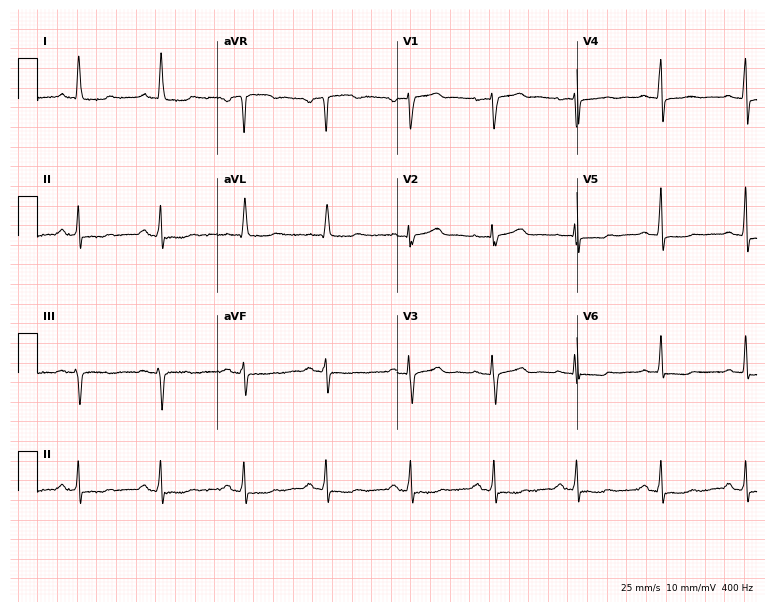
Electrocardiogram (7.3-second recording at 400 Hz), a female, 55 years old. Of the six screened findings (first-degree AV block, right bundle branch block, left bundle branch block, sinus bradycardia, atrial fibrillation, sinus tachycardia), none is recorded.